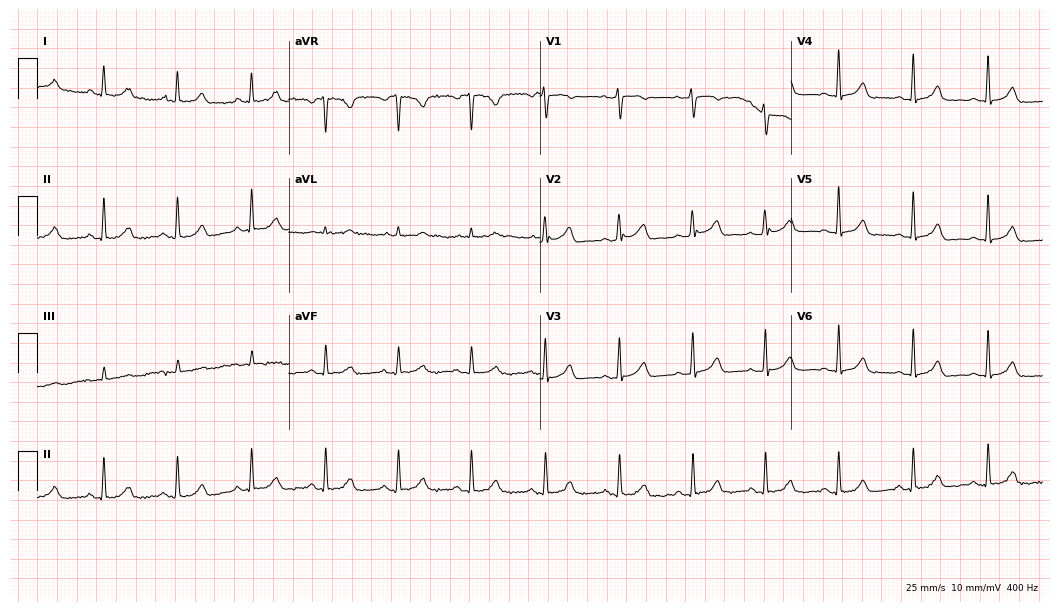
Resting 12-lead electrocardiogram. Patient: a 57-year-old female. Read as a normal ECG.